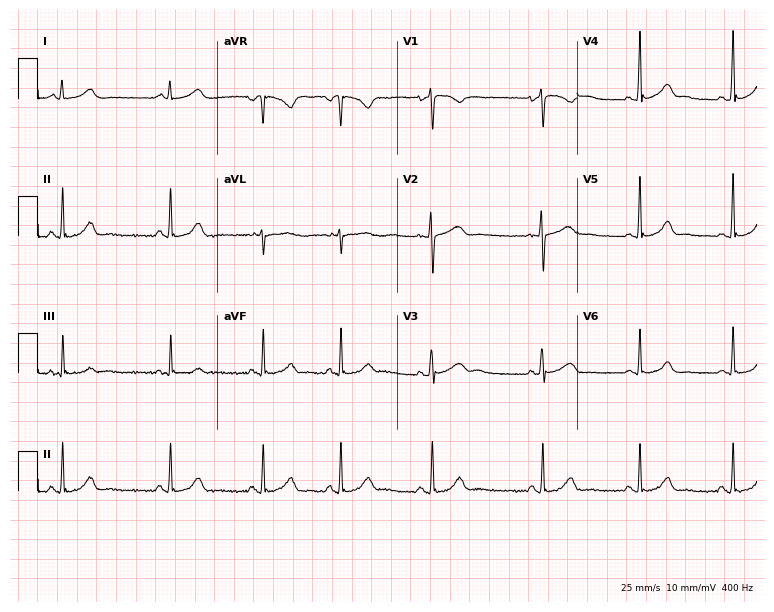
12-lead ECG from a woman, 18 years old. Screened for six findings — first-degree AV block, right bundle branch block (RBBB), left bundle branch block (LBBB), sinus bradycardia, atrial fibrillation (AF), sinus tachycardia — none is recorded.